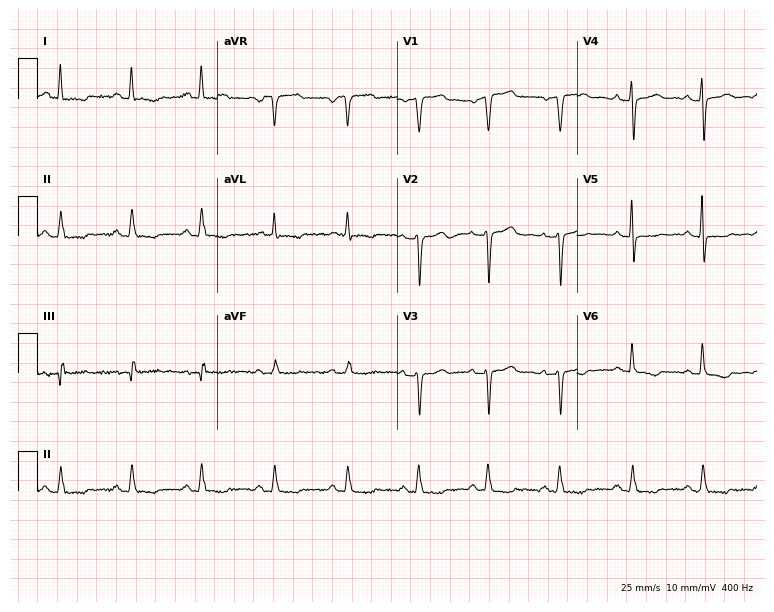
Electrocardiogram, a female, 57 years old. Of the six screened findings (first-degree AV block, right bundle branch block, left bundle branch block, sinus bradycardia, atrial fibrillation, sinus tachycardia), none is recorded. Other findings, if any, are not listed.